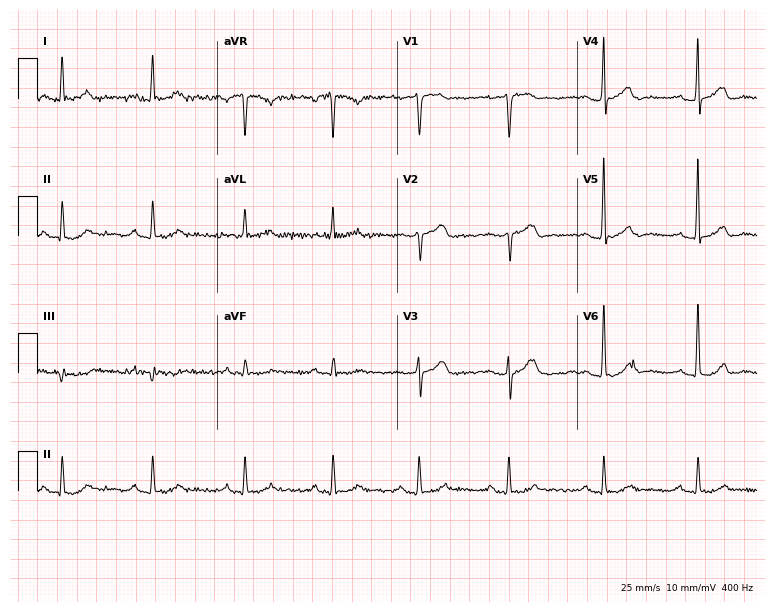
Electrocardiogram, a male patient, 59 years old. Overall reading on record: normal ECG.